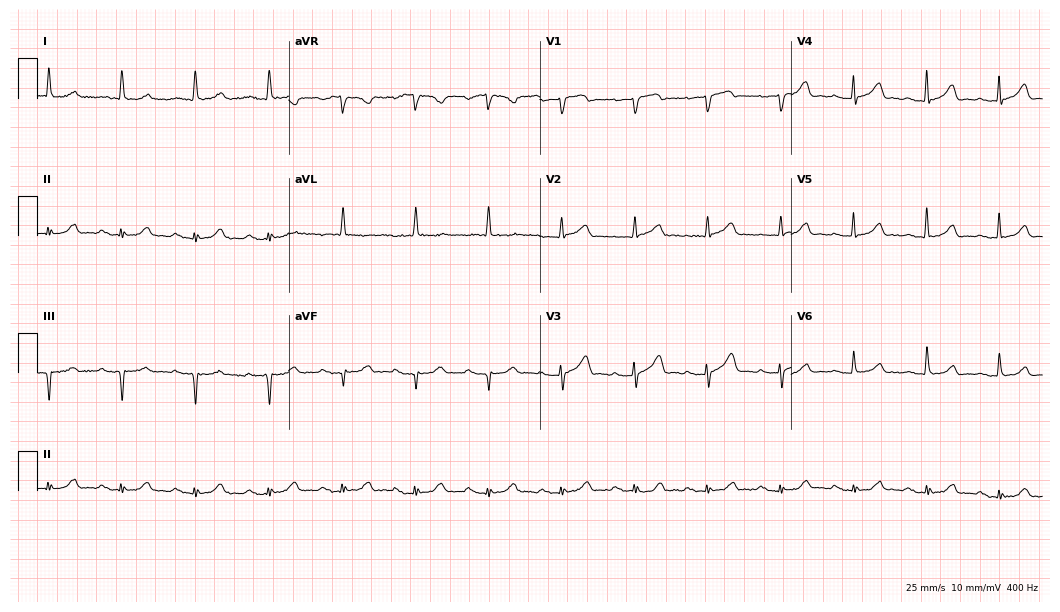
Resting 12-lead electrocardiogram. Patient: an 87-year-old male. None of these six findings is recorded: first-degree AV block, right bundle branch block, left bundle branch block, sinus bradycardia, atrial fibrillation, sinus tachycardia. Only these six findings were labelled.